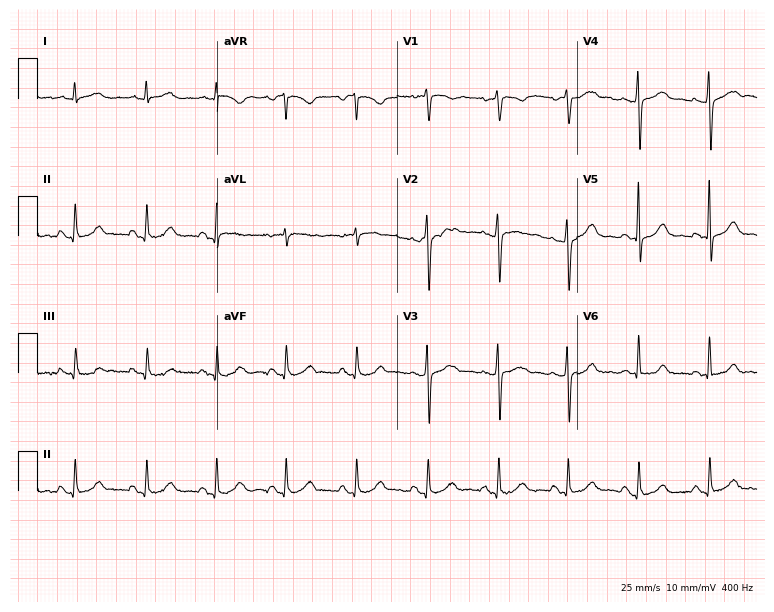
12-lead ECG (7.3-second recording at 400 Hz) from a woman, 48 years old. Screened for six findings — first-degree AV block, right bundle branch block (RBBB), left bundle branch block (LBBB), sinus bradycardia, atrial fibrillation (AF), sinus tachycardia — none is recorded. Findings outside these six are not listed.